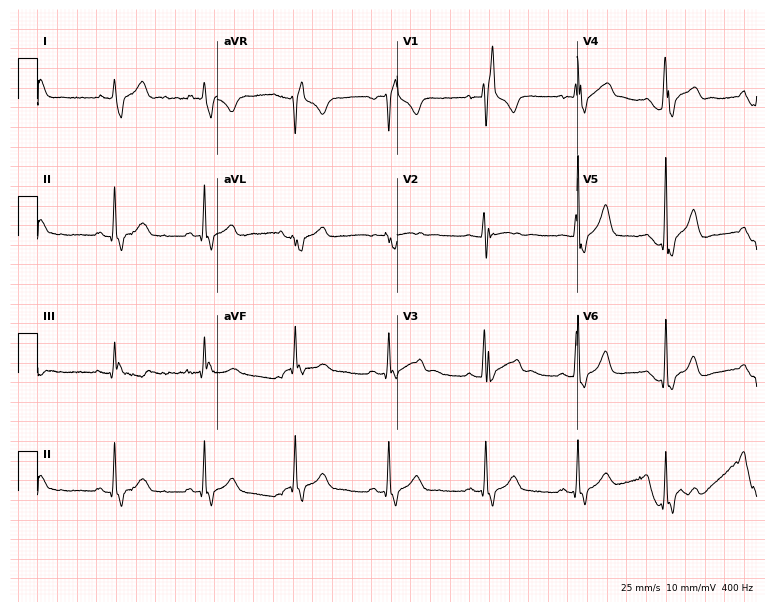
Standard 12-lead ECG recorded from an 18-year-old male patient (7.3-second recording at 400 Hz). The tracing shows right bundle branch block (RBBB).